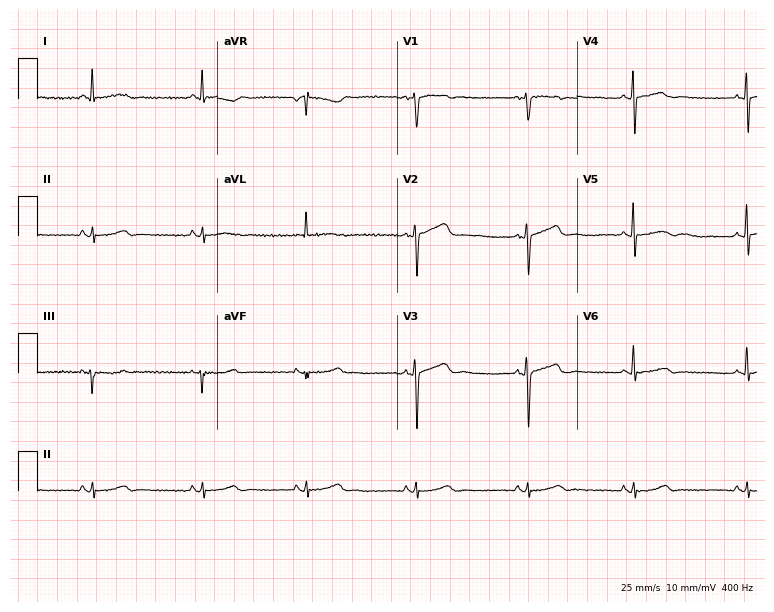
Standard 12-lead ECG recorded from a 46-year-old female (7.3-second recording at 400 Hz). Read as a normal ECG.